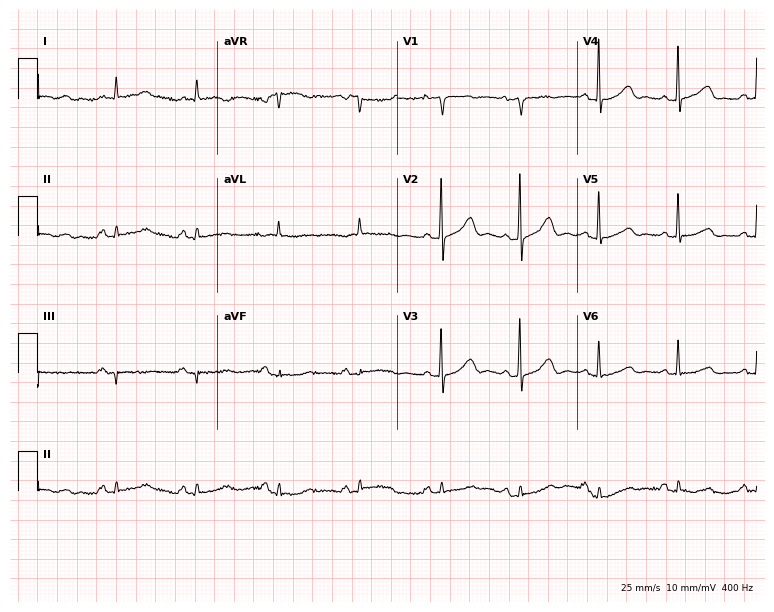
12-lead ECG from a woman, 84 years old. Screened for six findings — first-degree AV block, right bundle branch block (RBBB), left bundle branch block (LBBB), sinus bradycardia, atrial fibrillation (AF), sinus tachycardia — none is recorded.